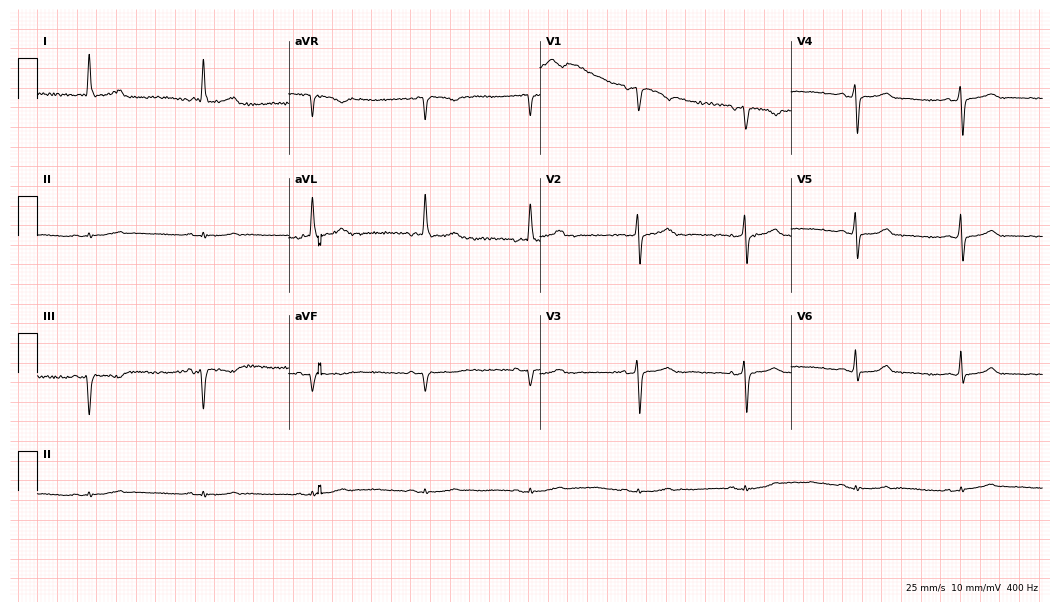
Standard 12-lead ECG recorded from a female patient, 77 years old (10.2-second recording at 400 Hz). None of these six findings is recorded: first-degree AV block, right bundle branch block (RBBB), left bundle branch block (LBBB), sinus bradycardia, atrial fibrillation (AF), sinus tachycardia.